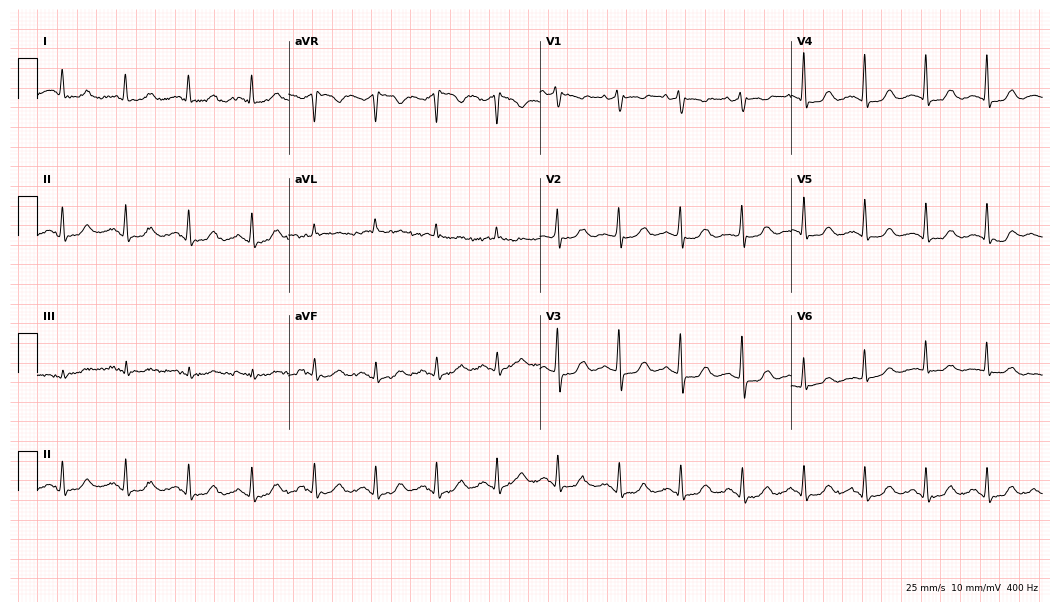
Electrocardiogram, a woman, 69 years old. Of the six screened findings (first-degree AV block, right bundle branch block, left bundle branch block, sinus bradycardia, atrial fibrillation, sinus tachycardia), none is recorded. Other findings, if any, are not listed.